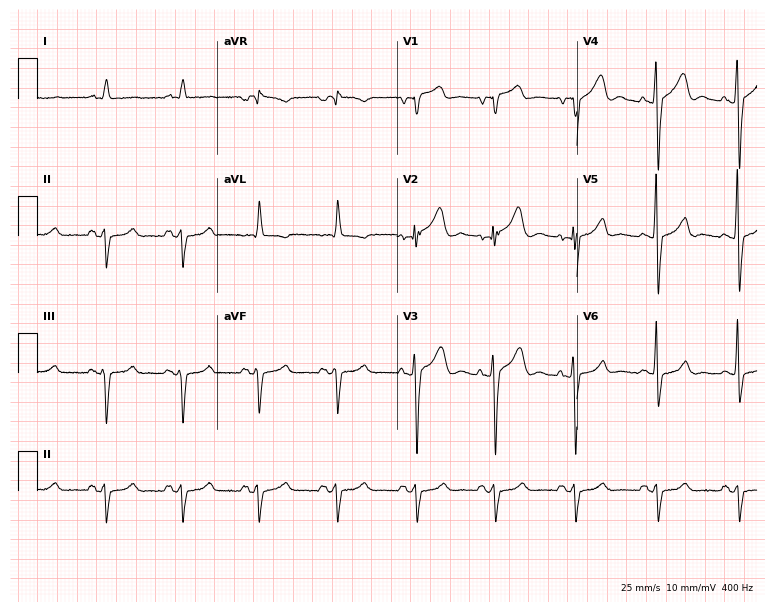
Standard 12-lead ECG recorded from a male patient, 75 years old. None of these six findings is recorded: first-degree AV block, right bundle branch block (RBBB), left bundle branch block (LBBB), sinus bradycardia, atrial fibrillation (AF), sinus tachycardia. Findings outside these six are not listed.